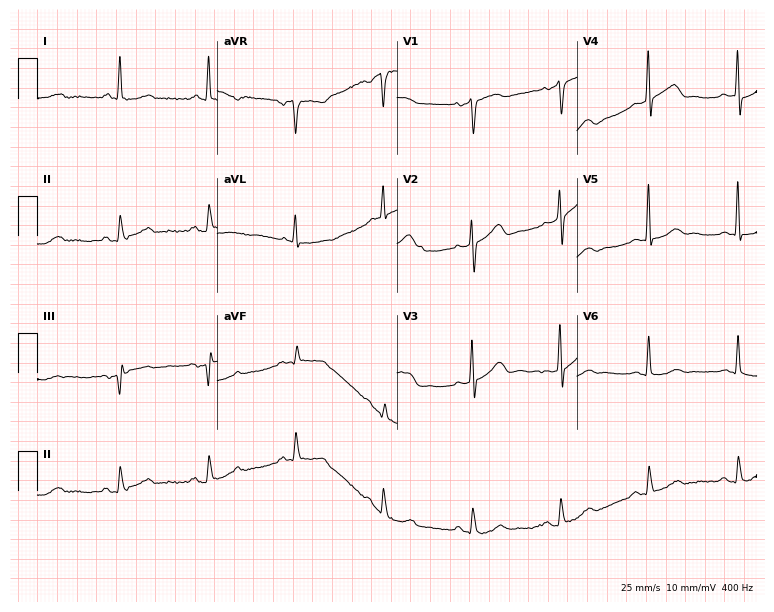
ECG (7.3-second recording at 400 Hz) — a 56-year-old female. Screened for six findings — first-degree AV block, right bundle branch block, left bundle branch block, sinus bradycardia, atrial fibrillation, sinus tachycardia — none is recorded. Other findings, if any, are not listed.